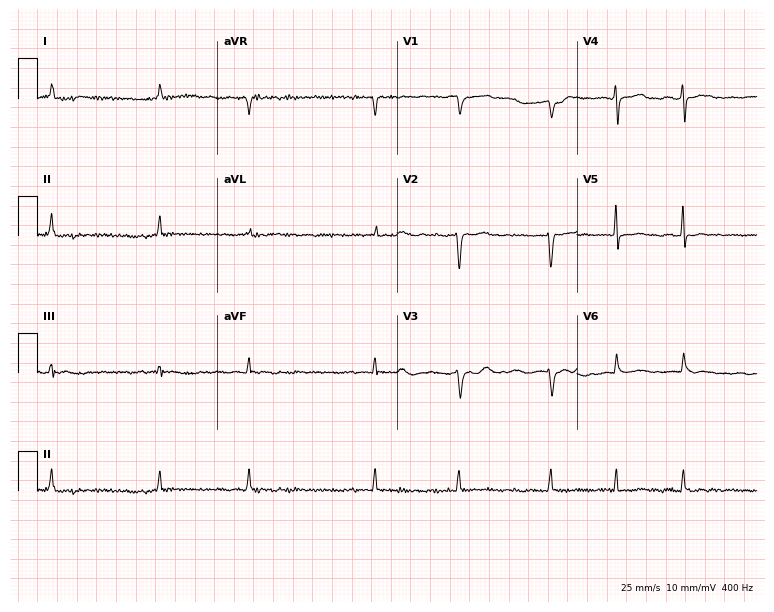
Electrocardiogram, a 65-year-old woman. Interpretation includes atrial fibrillation (AF).